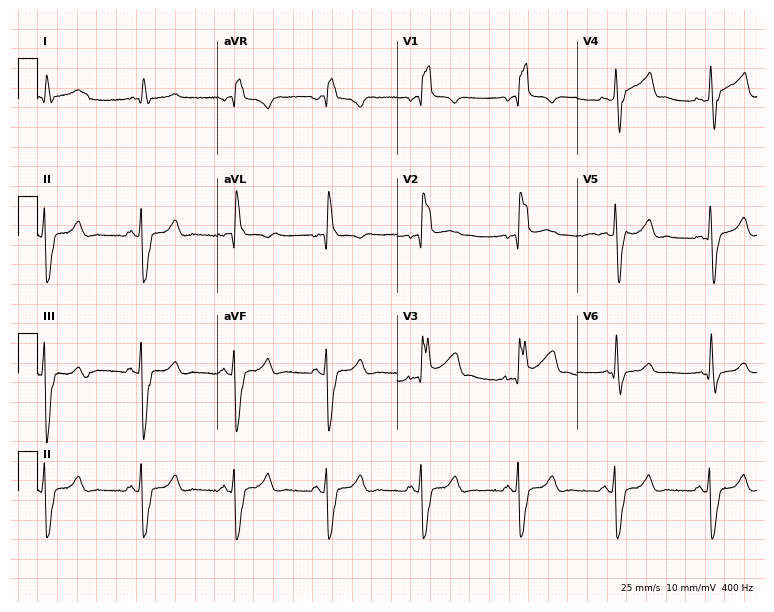
Resting 12-lead electrocardiogram (7.3-second recording at 400 Hz). Patient: a 25-year-old man. The tracing shows right bundle branch block (RBBB).